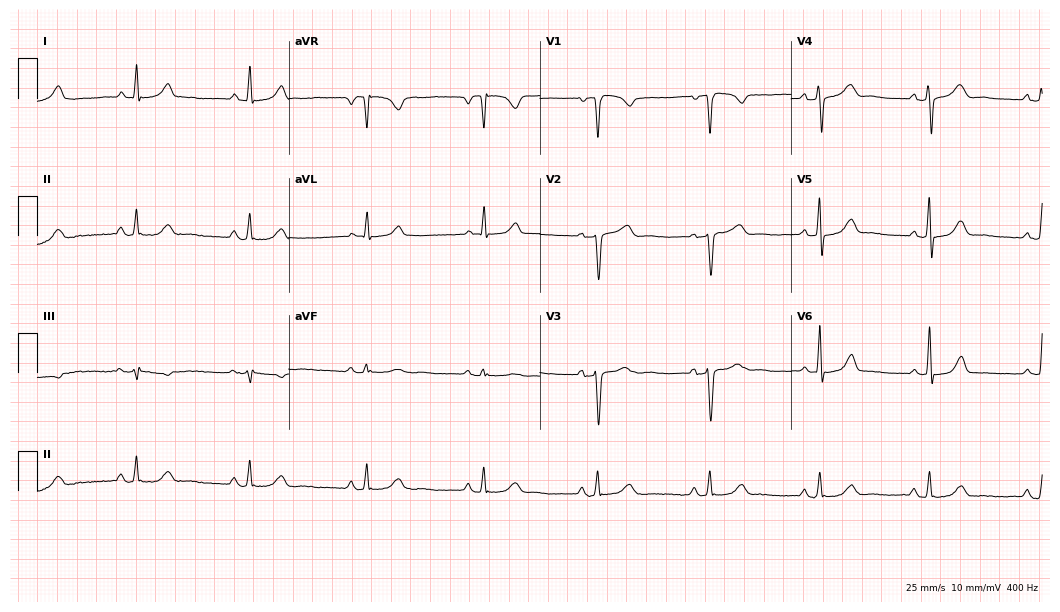
12-lead ECG from a female, 59 years old (10.2-second recording at 400 Hz). Recorded interpretation: within normal limits.